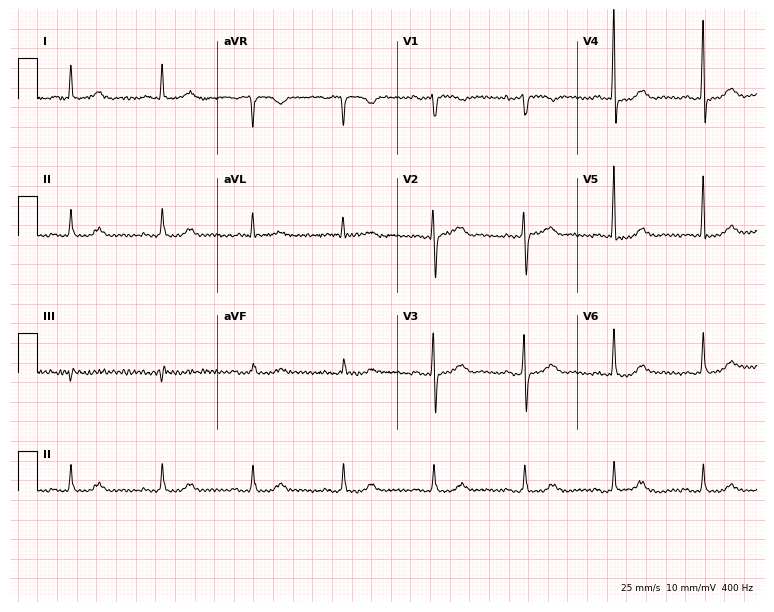
Electrocardiogram (7.3-second recording at 400 Hz), a female patient, 71 years old. Overall reading on record: normal ECG.